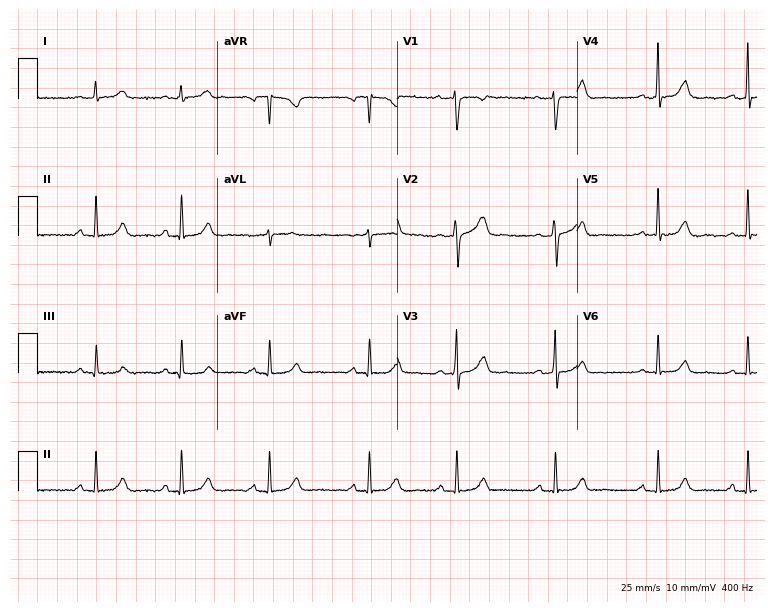
Electrocardiogram (7.3-second recording at 400 Hz), a woman, 41 years old. Overall reading on record: normal ECG.